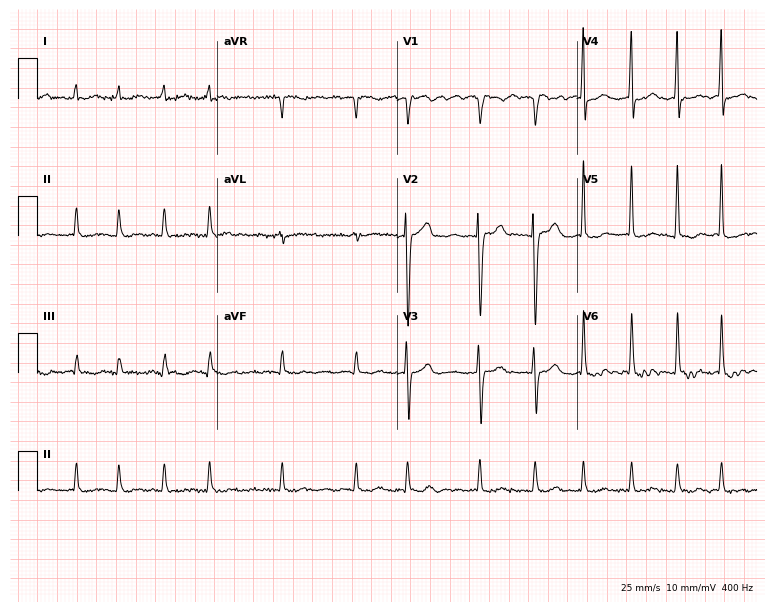
12-lead ECG from a female patient, 80 years old (7.3-second recording at 400 Hz). Shows atrial fibrillation.